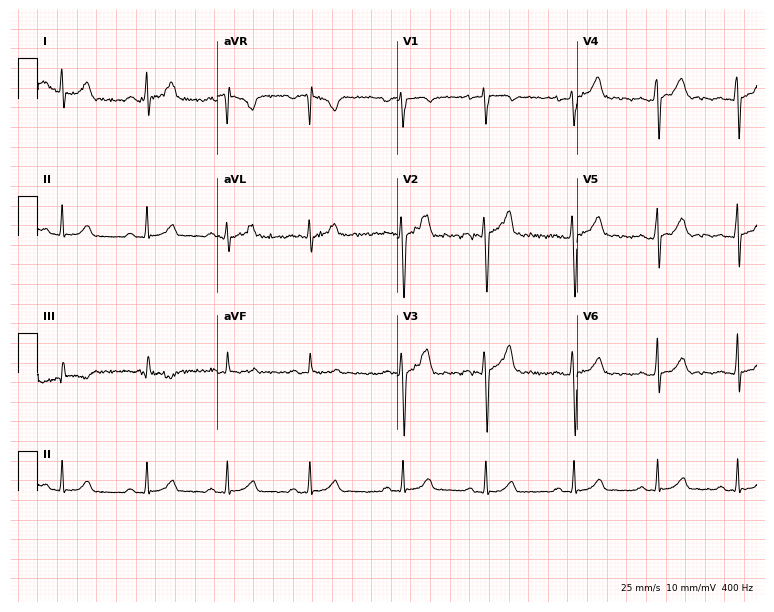
ECG — a male patient, 19 years old. Screened for six findings — first-degree AV block, right bundle branch block (RBBB), left bundle branch block (LBBB), sinus bradycardia, atrial fibrillation (AF), sinus tachycardia — none is recorded.